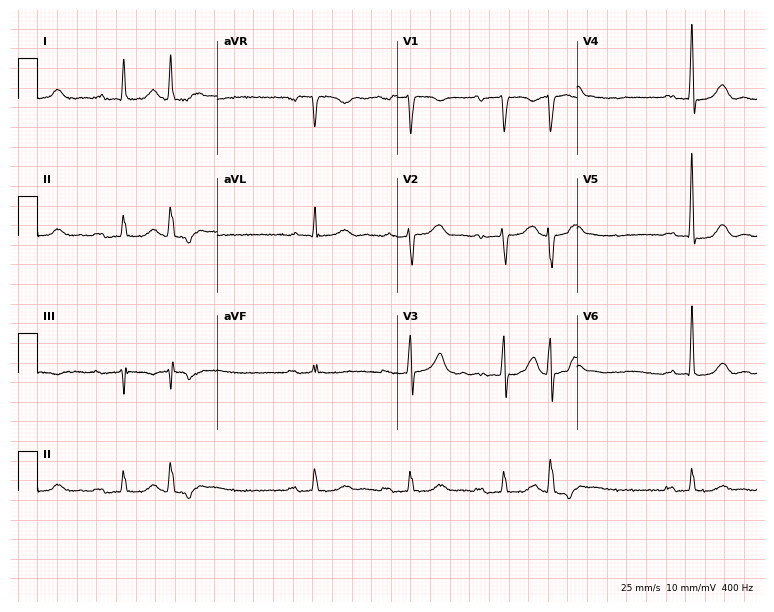
Standard 12-lead ECG recorded from a male patient, 85 years old. The tracing shows first-degree AV block.